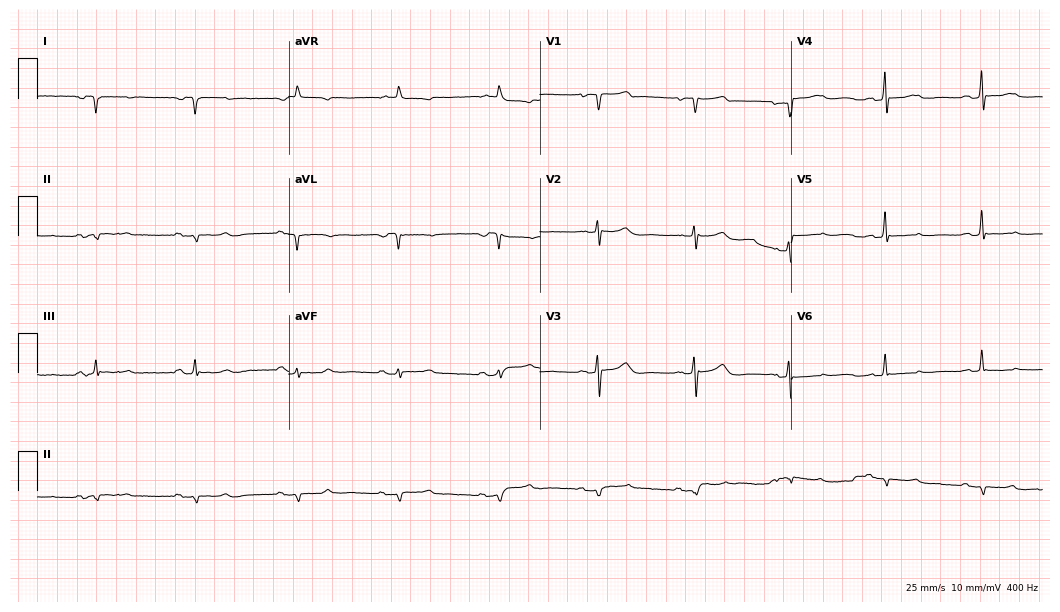
Standard 12-lead ECG recorded from a female, 65 years old. None of these six findings is recorded: first-degree AV block, right bundle branch block, left bundle branch block, sinus bradycardia, atrial fibrillation, sinus tachycardia. Other findings, if any, are not listed.